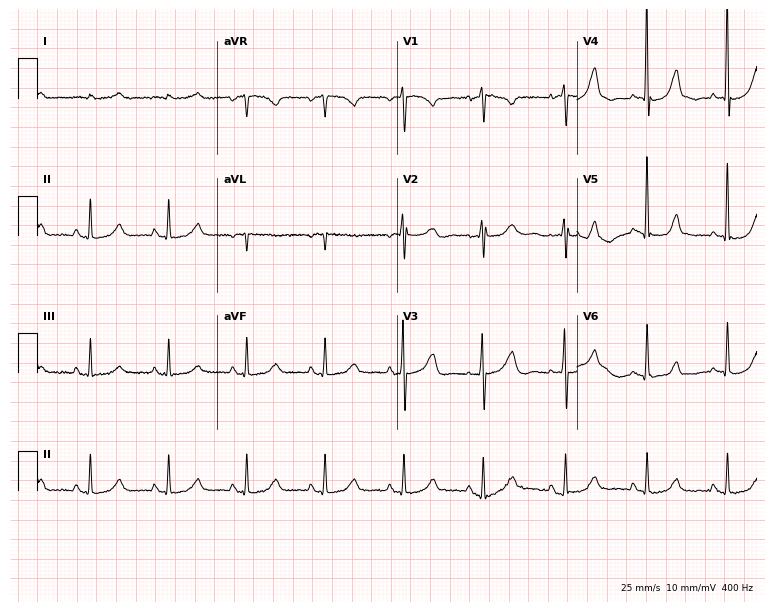
12-lead ECG from a female, 62 years old. Labelled as a normal ECG.